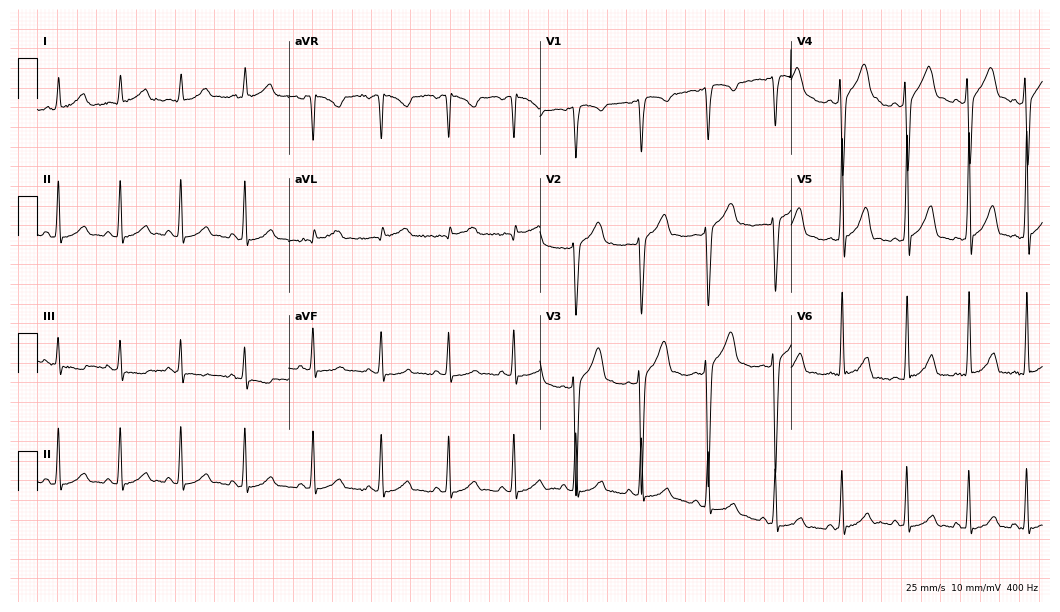
12-lead ECG from a male, 29 years old. Recorded interpretation: within normal limits.